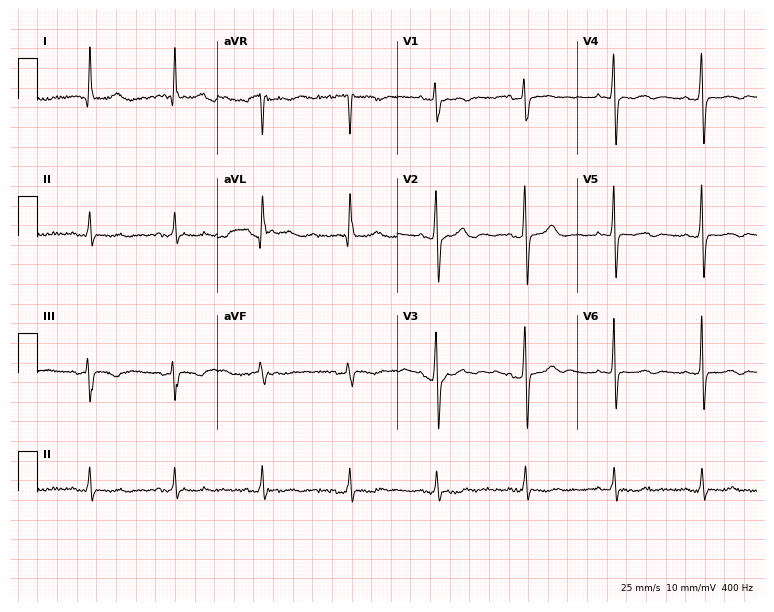
12-lead ECG from a woman, 71 years old (7.3-second recording at 400 Hz). No first-degree AV block, right bundle branch block, left bundle branch block, sinus bradycardia, atrial fibrillation or sinus tachycardia recorded for this tracing. Other findings, if any, are not listed.